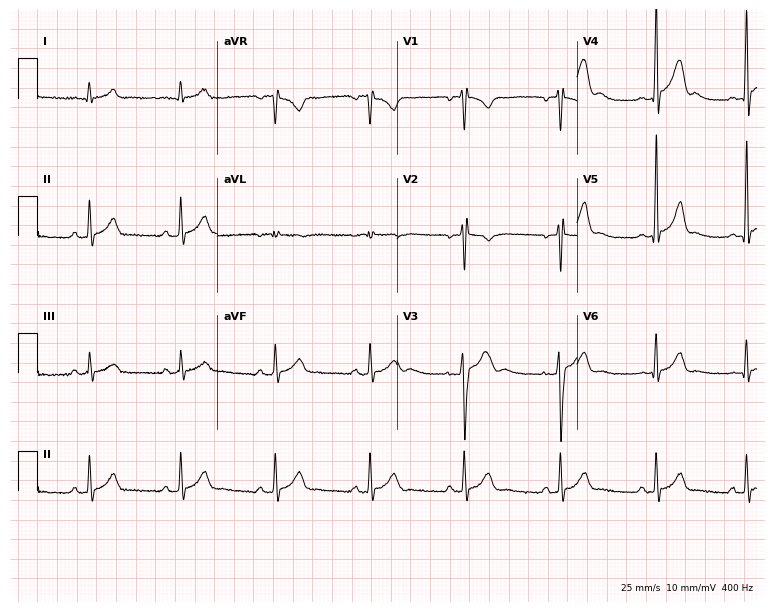
12-lead ECG from a 25-year-old male. No first-degree AV block, right bundle branch block, left bundle branch block, sinus bradycardia, atrial fibrillation or sinus tachycardia recorded for this tracing. Findings outside these six are not listed.